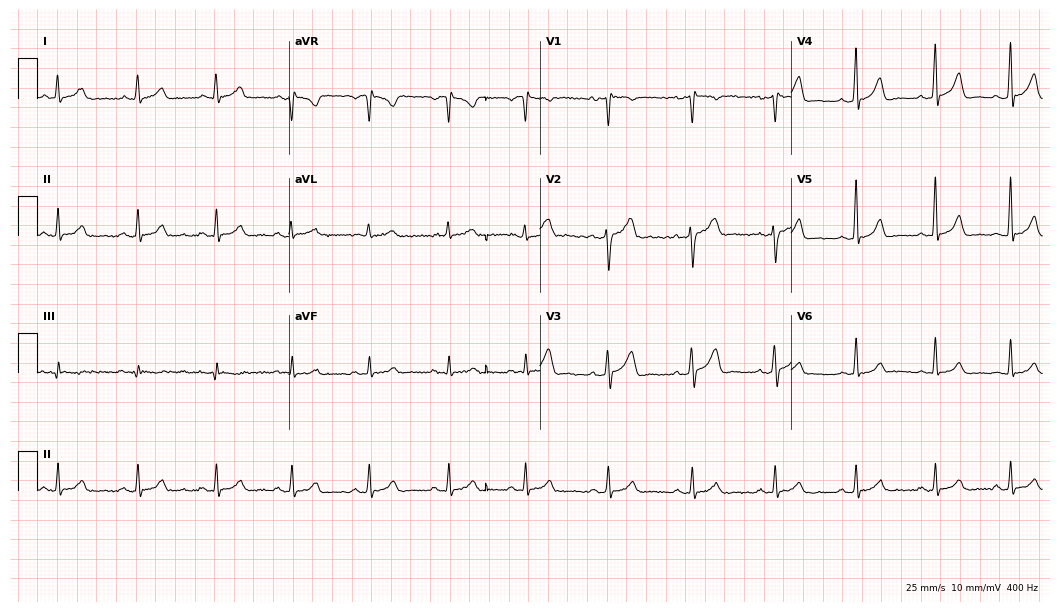
12-lead ECG from a 27-year-old male. Screened for six findings — first-degree AV block, right bundle branch block, left bundle branch block, sinus bradycardia, atrial fibrillation, sinus tachycardia — none is recorded.